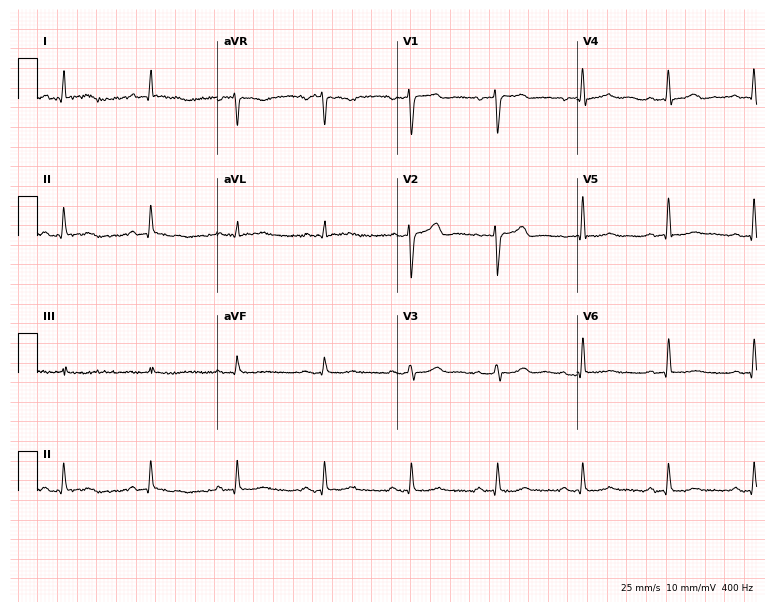
12-lead ECG from a 38-year-old man (7.3-second recording at 400 Hz). No first-degree AV block, right bundle branch block, left bundle branch block, sinus bradycardia, atrial fibrillation or sinus tachycardia recorded for this tracing. Findings outside these six are not listed.